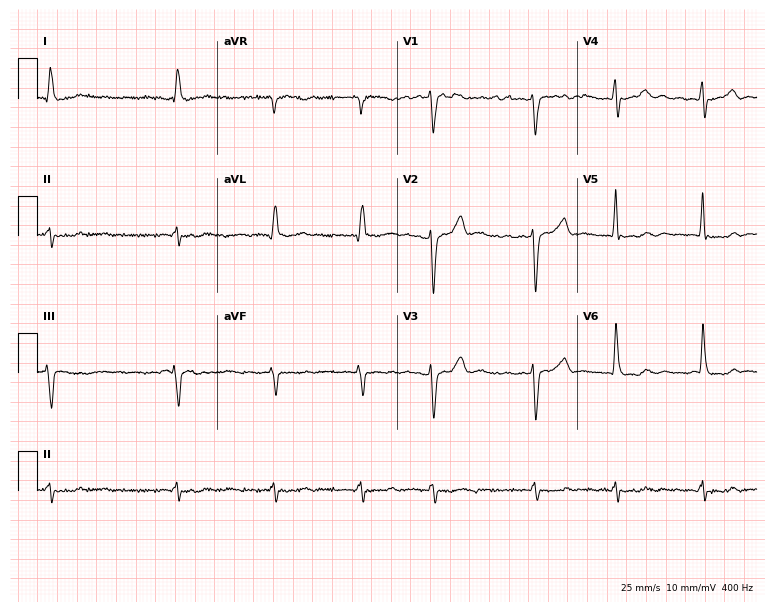
ECG (7.3-second recording at 400 Hz) — a man, 82 years old. Findings include atrial fibrillation (AF).